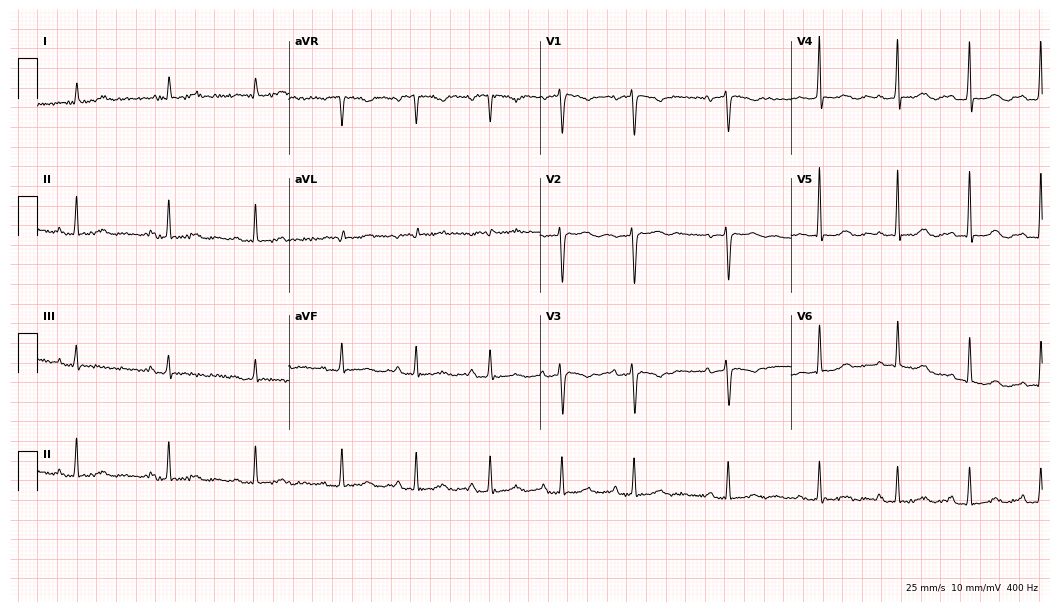
Standard 12-lead ECG recorded from a 68-year-old female patient (10.2-second recording at 400 Hz). None of these six findings is recorded: first-degree AV block, right bundle branch block, left bundle branch block, sinus bradycardia, atrial fibrillation, sinus tachycardia. Findings outside these six are not listed.